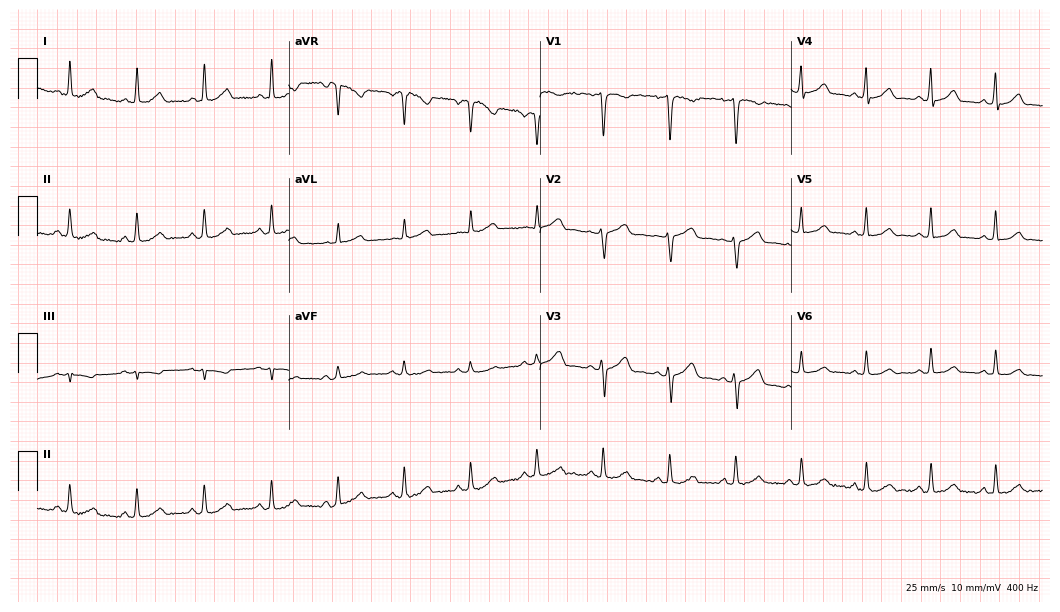
Resting 12-lead electrocardiogram (10.2-second recording at 400 Hz). Patient: a 49-year-old female. Read as a normal ECG.